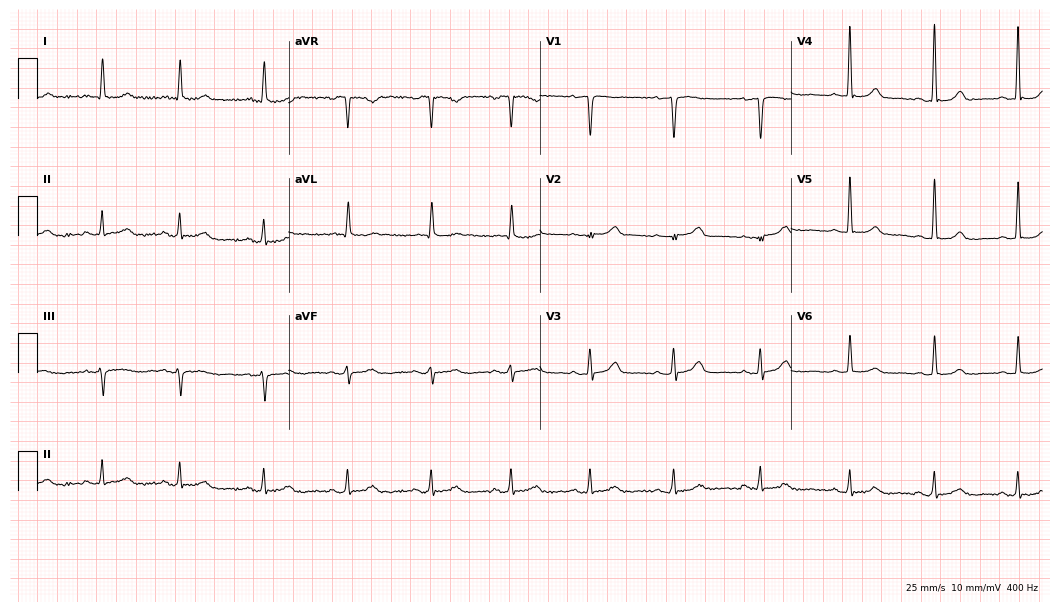
ECG (10.2-second recording at 400 Hz) — a 56-year-old woman. Screened for six findings — first-degree AV block, right bundle branch block, left bundle branch block, sinus bradycardia, atrial fibrillation, sinus tachycardia — none is recorded. Only these six findings were labelled.